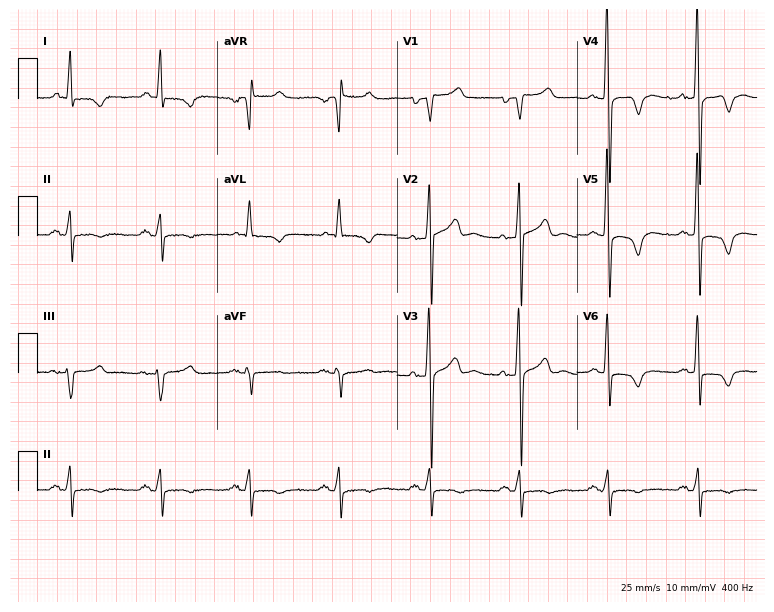
12-lead ECG from a 66-year-old man. Screened for six findings — first-degree AV block, right bundle branch block (RBBB), left bundle branch block (LBBB), sinus bradycardia, atrial fibrillation (AF), sinus tachycardia — none is recorded.